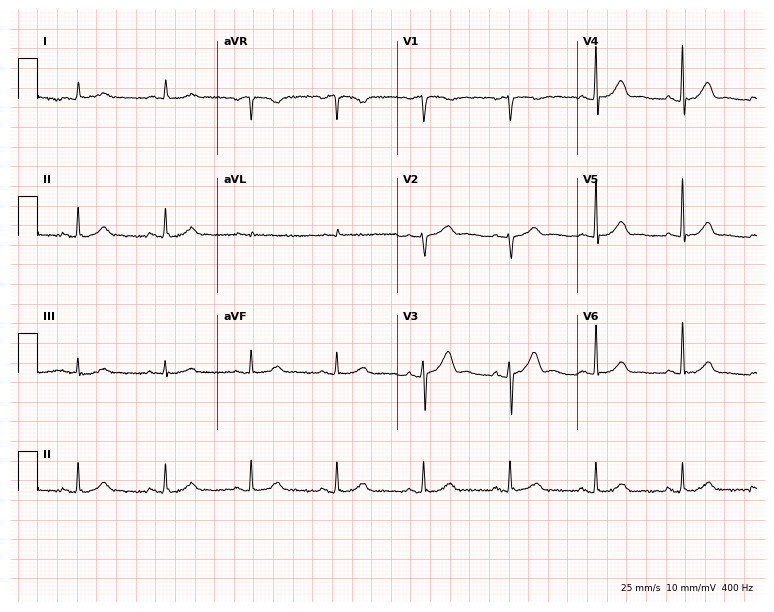
Resting 12-lead electrocardiogram (7.3-second recording at 400 Hz). Patient: a man, 79 years old. Read as a normal ECG.